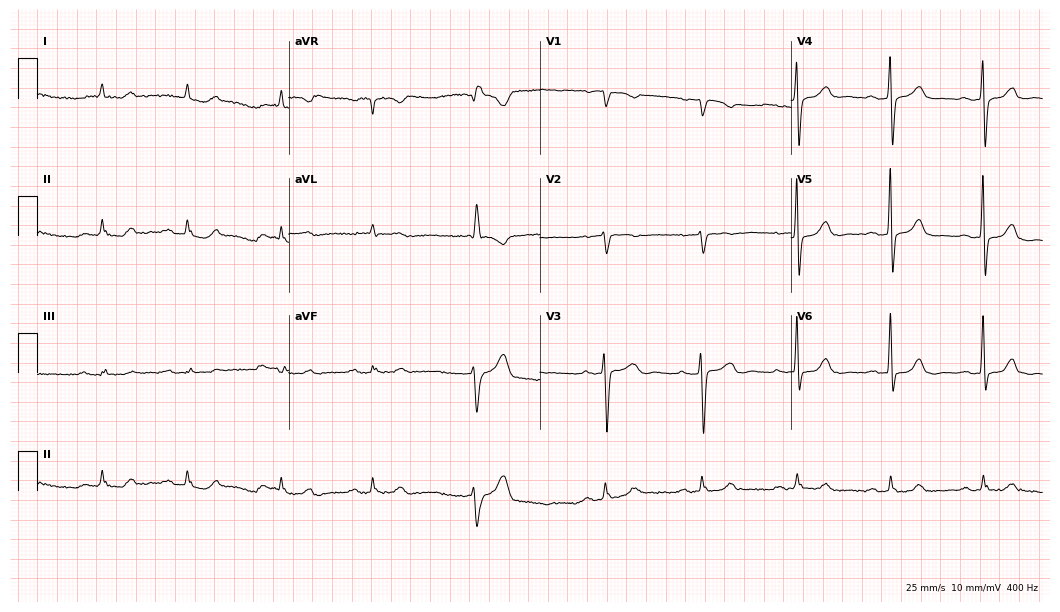
ECG (10.2-second recording at 400 Hz) — a male, 82 years old. Findings include first-degree AV block.